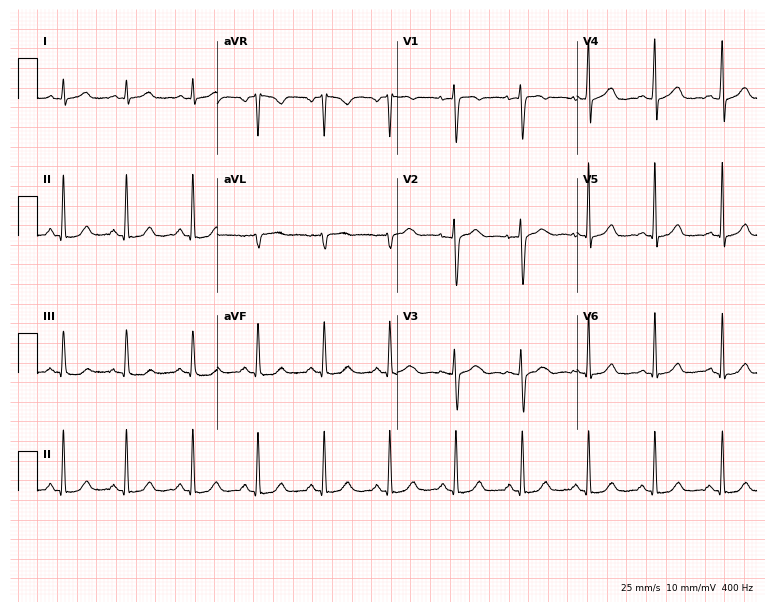
12-lead ECG from a 52-year-old female patient. Screened for six findings — first-degree AV block, right bundle branch block, left bundle branch block, sinus bradycardia, atrial fibrillation, sinus tachycardia — none is recorded. Only these six findings were labelled.